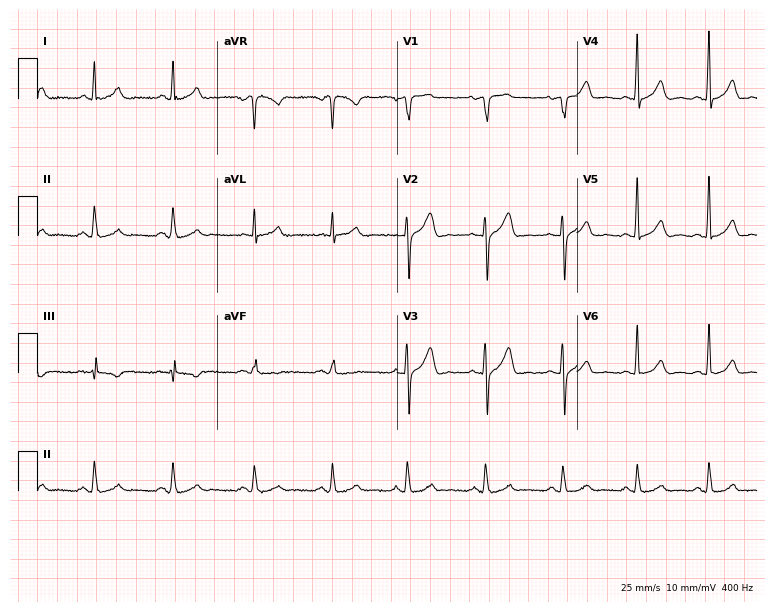
Standard 12-lead ECG recorded from a 54-year-old man (7.3-second recording at 400 Hz). Read as a normal ECG.